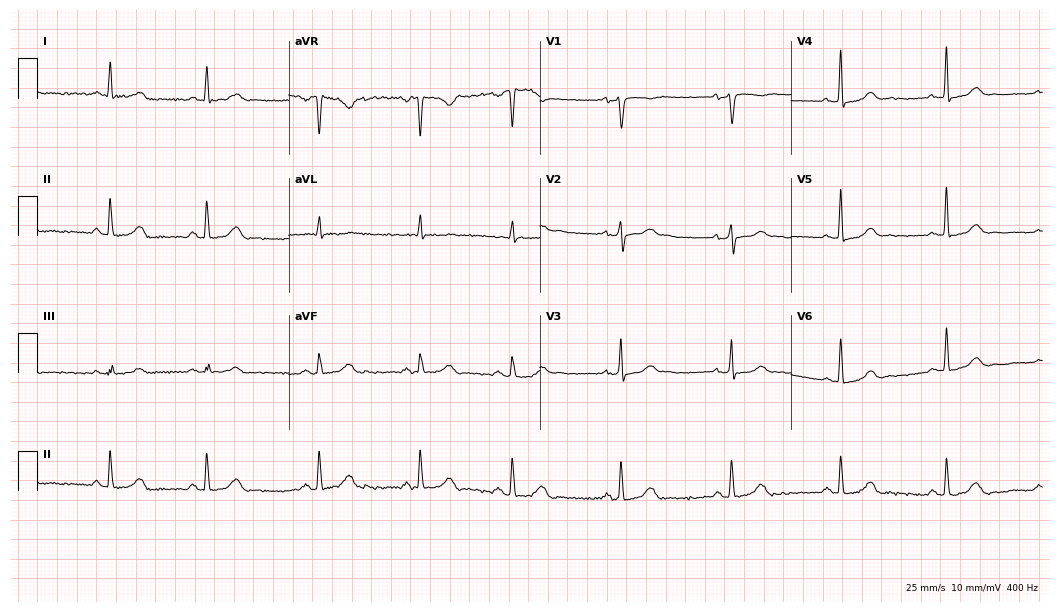
Standard 12-lead ECG recorded from a 48-year-old female. None of these six findings is recorded: first-degree AV block, right bundle branch block, left bundle branch block, sinus bradycardia, atrial fibrillation, sinus tachycardia. Only these six findings were labelled.